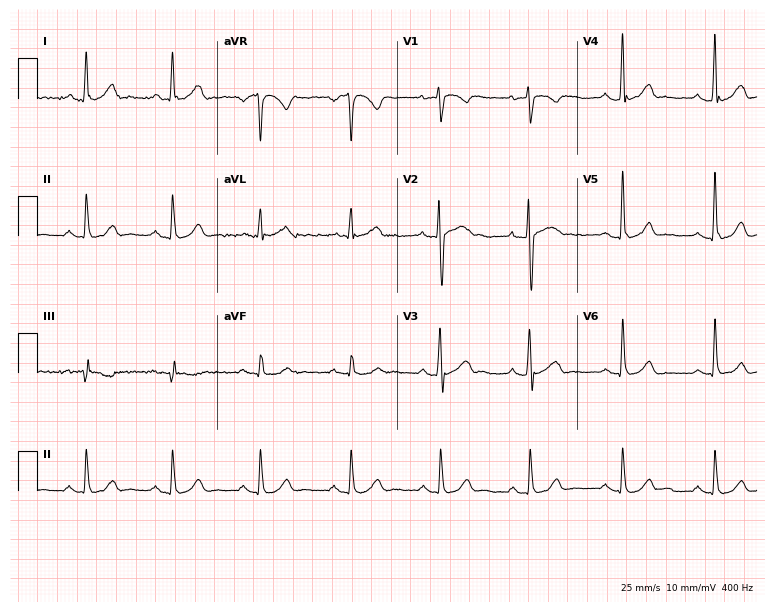
ECG — a male patient, 37 years old. Labelled as a normal ECG.